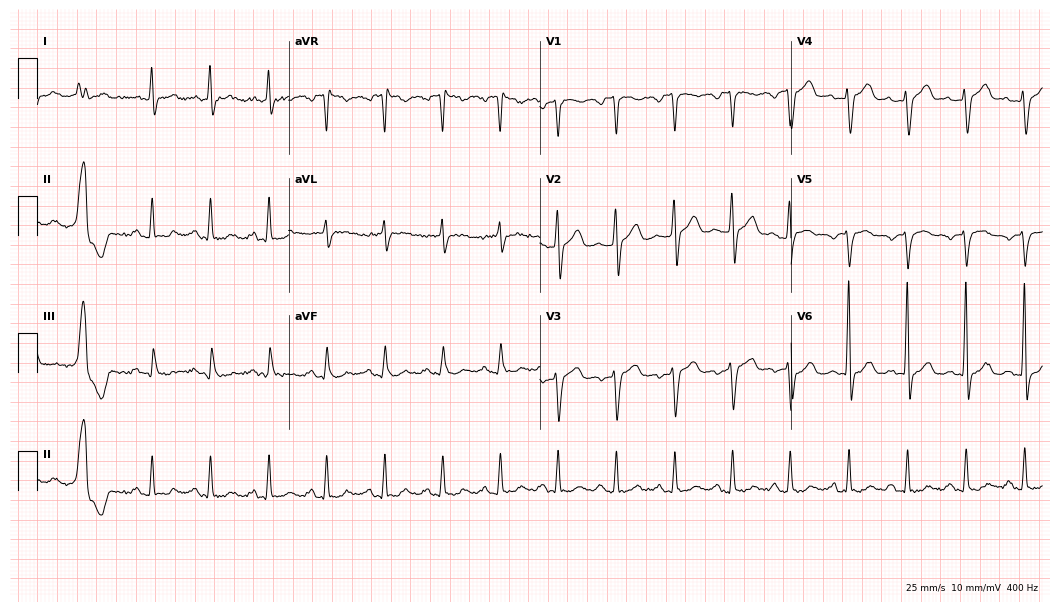
12-lead ECG from a 55-year-old male. Screened for six findings — first-degree AV block, right bundle branch block, left bundle branch block, sinus bradycardia, atrial fibrillation, sinus tachycardia — none is recorded.